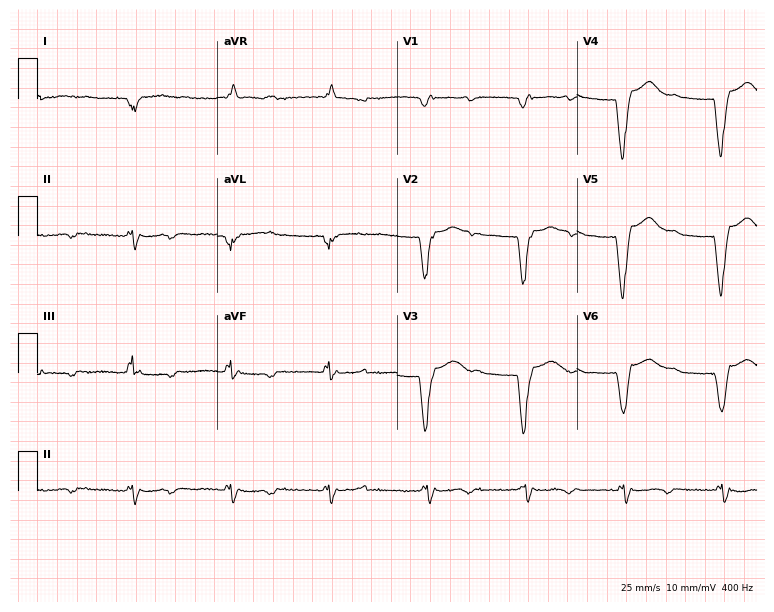
12-lead ECG from a female patient, 48 years old (7.3-second recording at 400 Hz). No first-degree AV block, right bundle branch block (RBBB), left bundle branch block (LBBB), sinus bradycardia, atrial fibrillation (AF) or sinus tachycardia recorded for this tracing. Only these six findings were labelled.